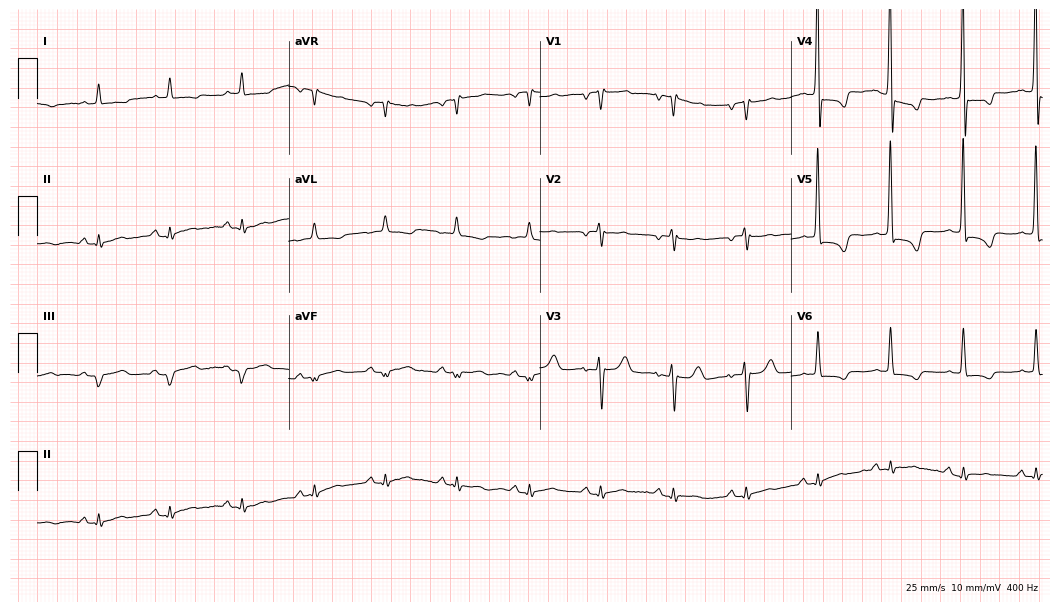
Electrocardiogram (10.2-second recording at 400 Hz), a woman, 82 years old. Of the six screened findings (first-degree AV block, right bundle branch block (RBBB), left bundle branch block (LBBB), sinus bradycardia, atrial fibrillation (AF), sinus tachycardia), none is recorded. Other findings, if any, are not listed.